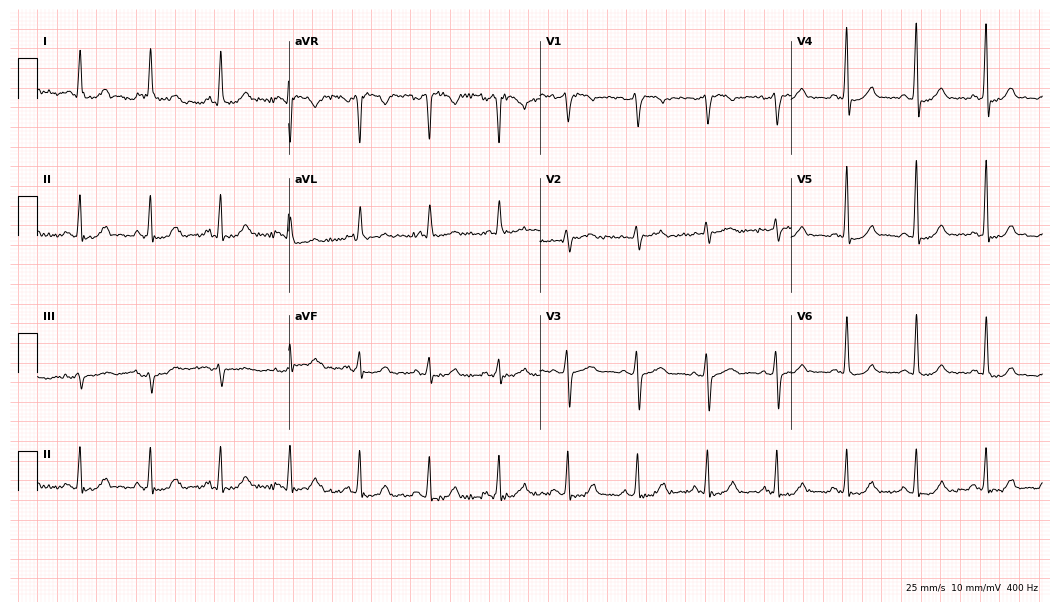
12-lead ECG (10.2-second recording at 400 Hz) from a woman, 71 years old. Labelled as a normal ECG.